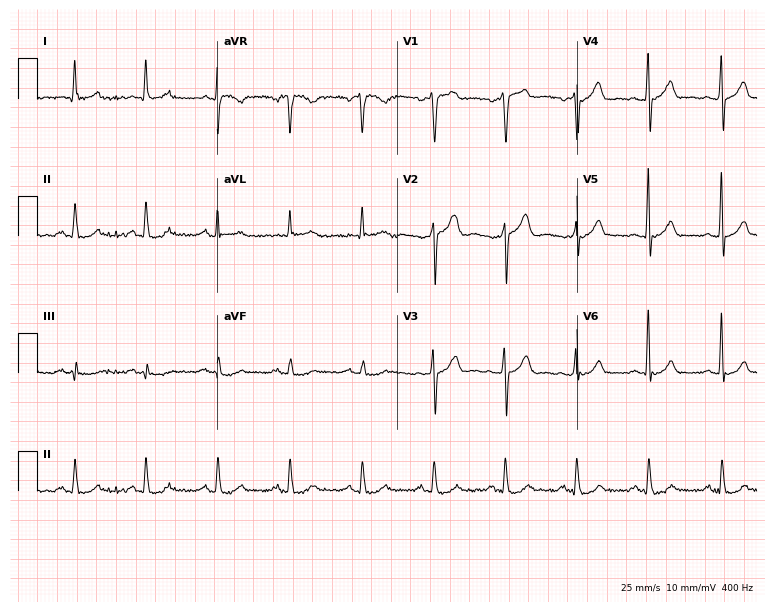
Standard 12-lead ECG recorded from a 55-year-old man (7.3-second recording at 400 Hz). Read as a normal ECG.